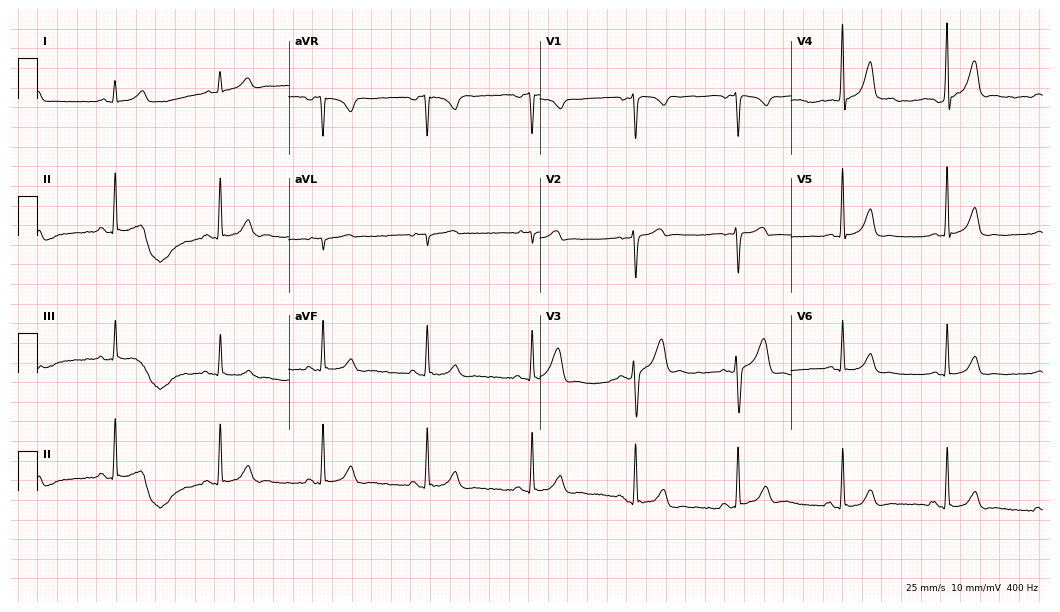
Standard 12-lead ECG recorded from a 46-year-old male patient (10.2-second recording at 400 Hz). Read as a normal ECG.